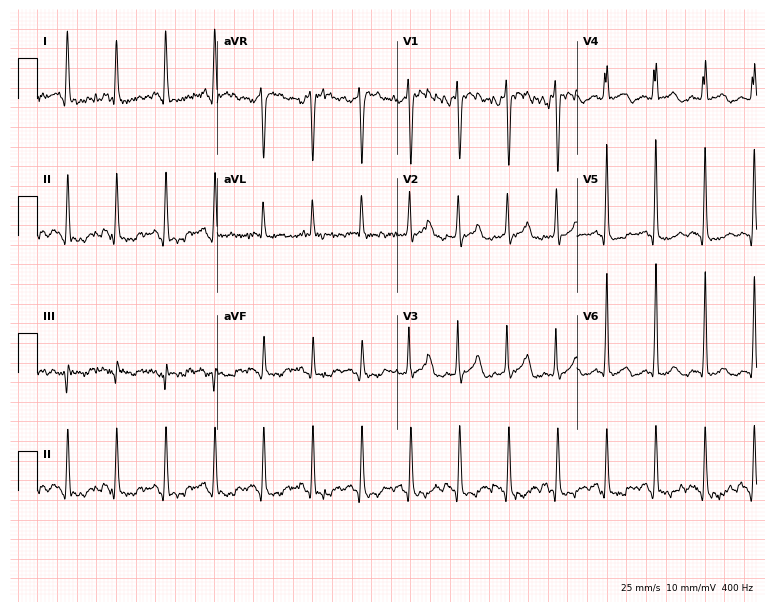
ECG — a male, 35 years old. Screened for six findings — first-degree AV block, right bundle branch block (RBBB), left bundle branch block (LBBB), sinus bradycardia, atrial fibrillation (AF), sinus tachycardia — none is recorded. Findings outside these six are not listed.